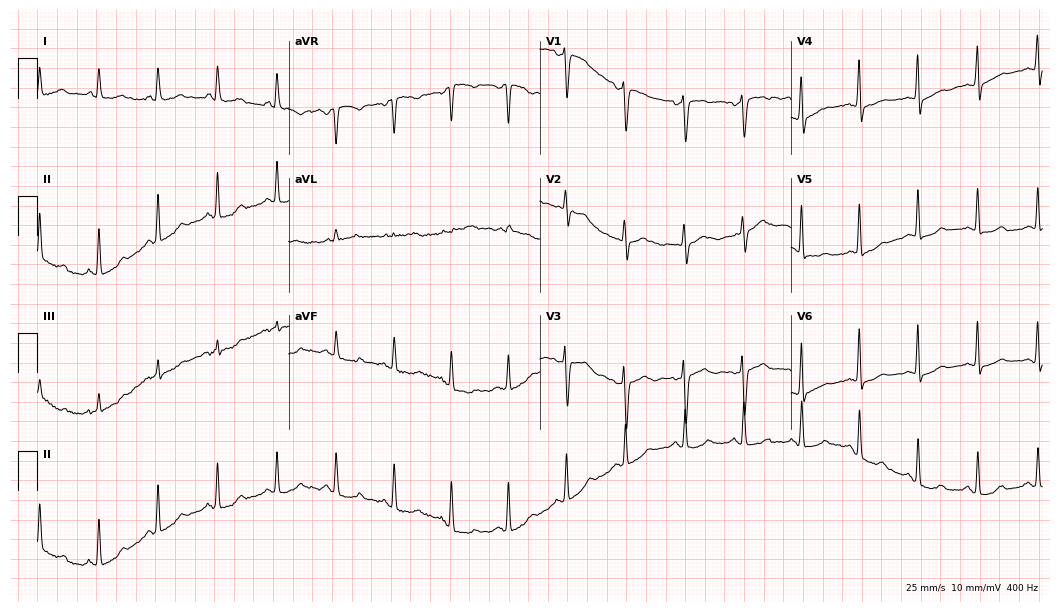
Electrocardiogram (10.2-second recording at 400 Hz), a 62-year-old female. Interpretation includes sinus tachycardia (a sinus rate of 100 beats per minute or more).